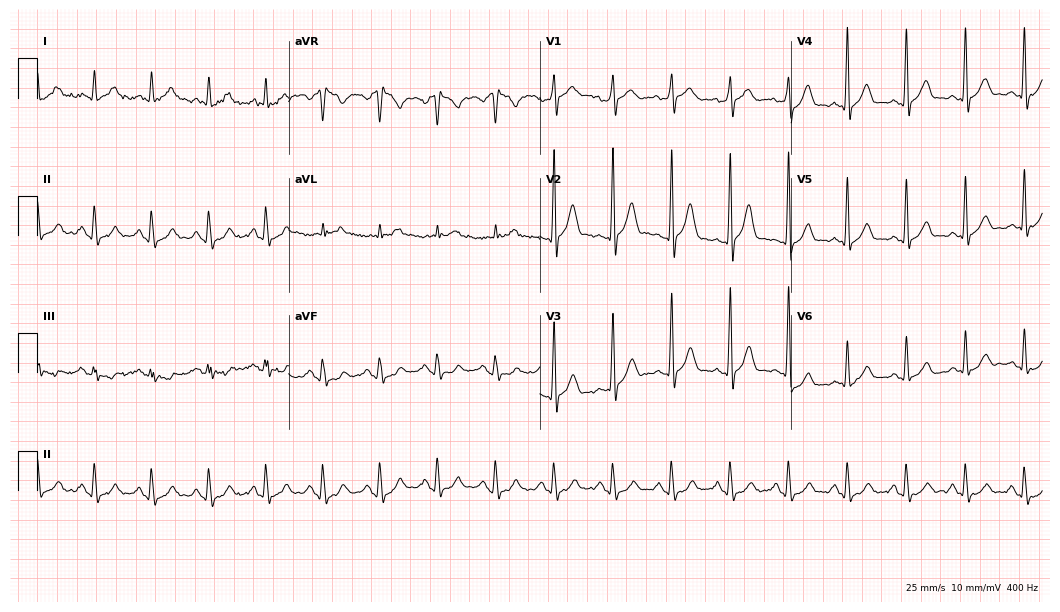
Electrocardiogram, a male patient, 50 years old. Overall reading on record: normal ECG.